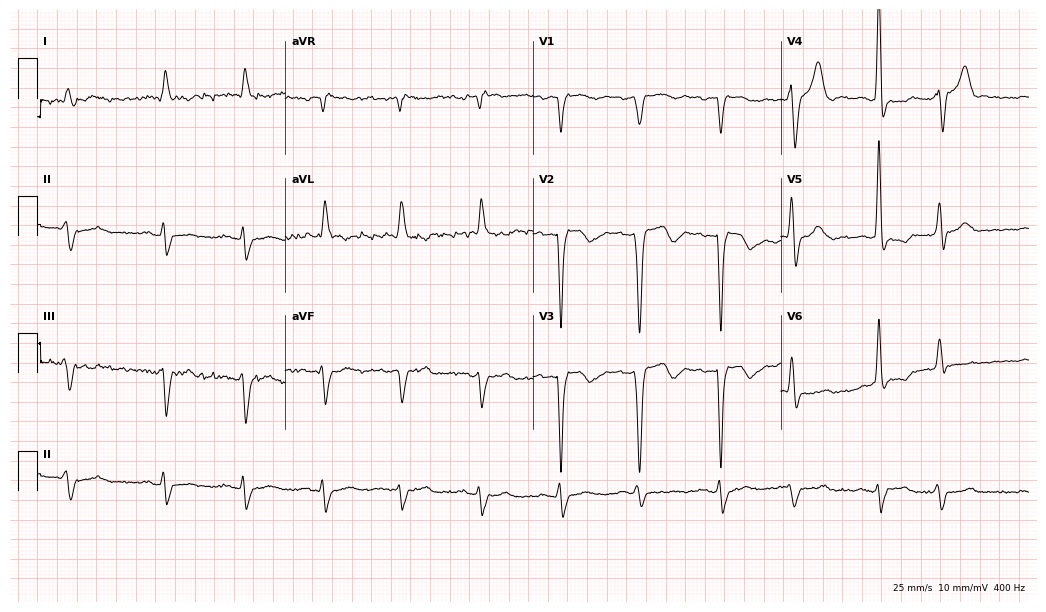
ECG — an 83-year-old male patient. Findings include left bundle branch block.